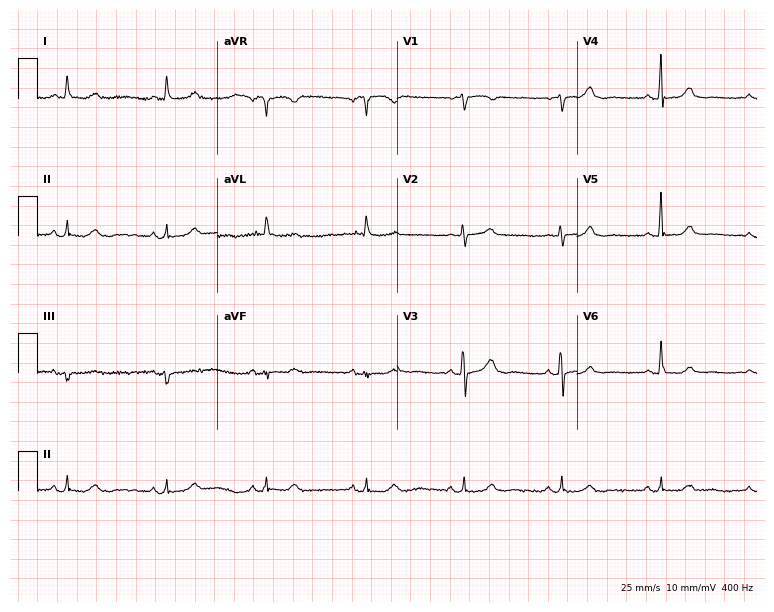
Standard 12-lead ECG recorded from a 73-year-old female (7.3-second recording at 400 Hz). None of these six findings is recorded: first-degree AV block, right bundle branch block (RBBB), left bundle branch block (LBBB), sinus bradycardia, atrial fibrillation (AF), sinus tachycardia. Other findings, if any, are not listed.